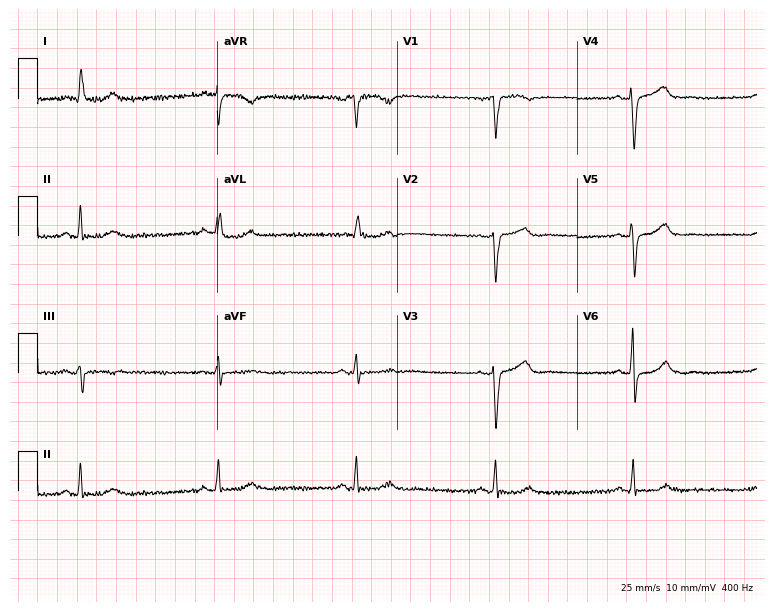
Standard 12-lead ECG recorded from a 66-year-old woman (7.3-second recording at 400 Hz). The tracing shows sinus bradycardia (a sinus rate of 50 beats per minute or less).